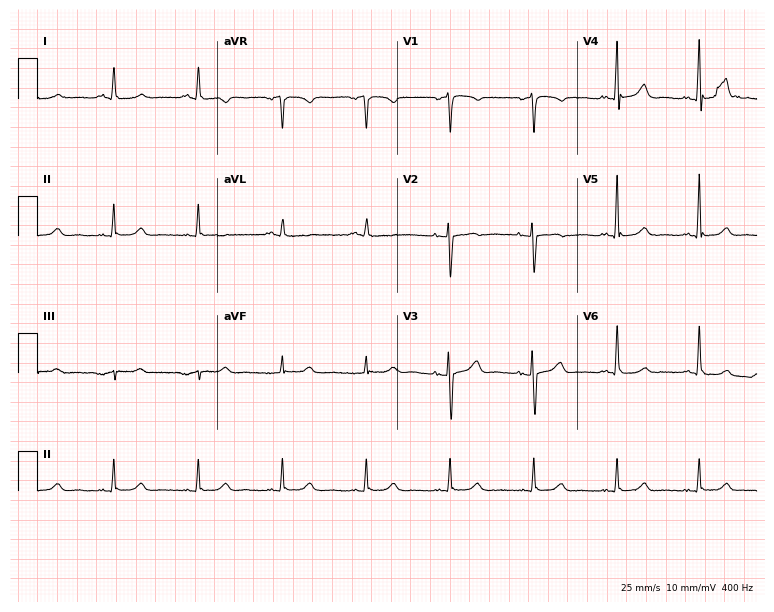
12-lead ECG from a 71-year-old woman (7.3-second recording at 400 Hz). No first-degree AV block, right bundle branch block (RBBB), left bundle branch block (LBBB), sinus bradycardia, atrial fibrillation (AF) or sinus tachycardia recorded for this tracing.